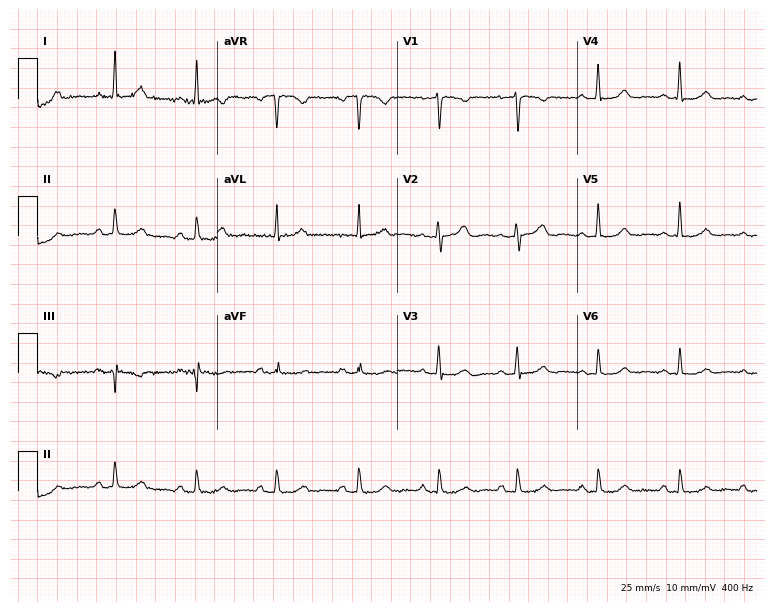
12-lead ECG from a female patient, 49 years old. Labelled as a normal ECG.